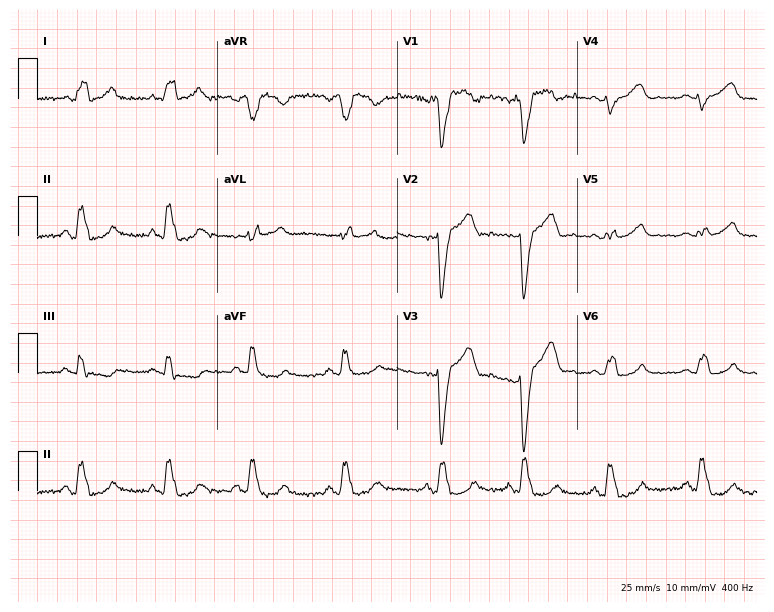
12-lead ECG (7.3-second recording at 400 Hz) from a 26-year-old female. Findings include left bundle branch block.